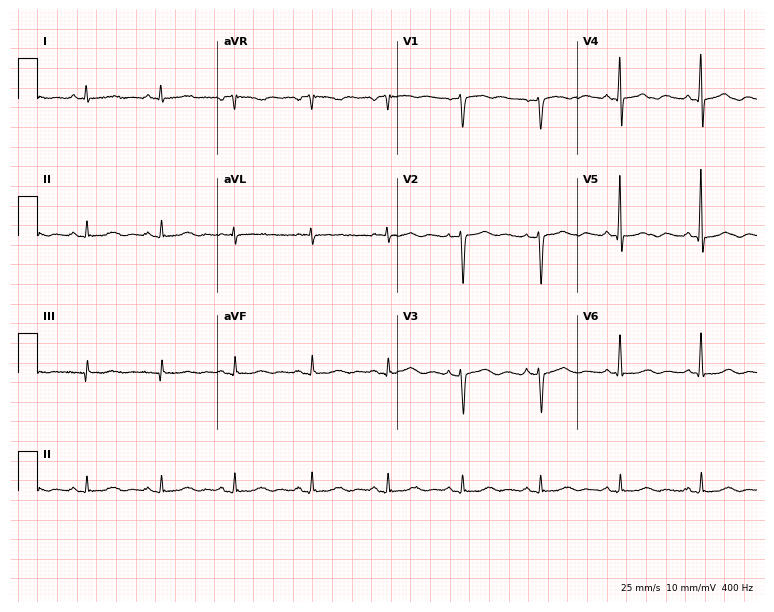
12-lead ECG from a 65-year-old female (7.3-second recording at 400 Hz). Recorded interpretation: within normal limits.